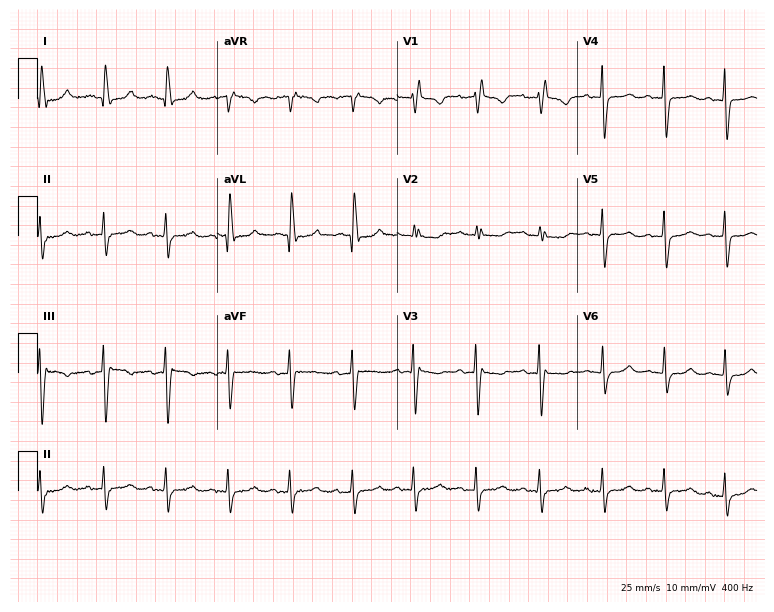
12-lead ECG (7.3-second recording at 400 Hz) from a female patient, 78 years old. Screened for six findings — first-degree AV block, right bundle branch block, left bundle branch block, sinus bradycardia, atrial fibrillation, sinus tachycardia — none is recorded. Findings outside these six are not listed.